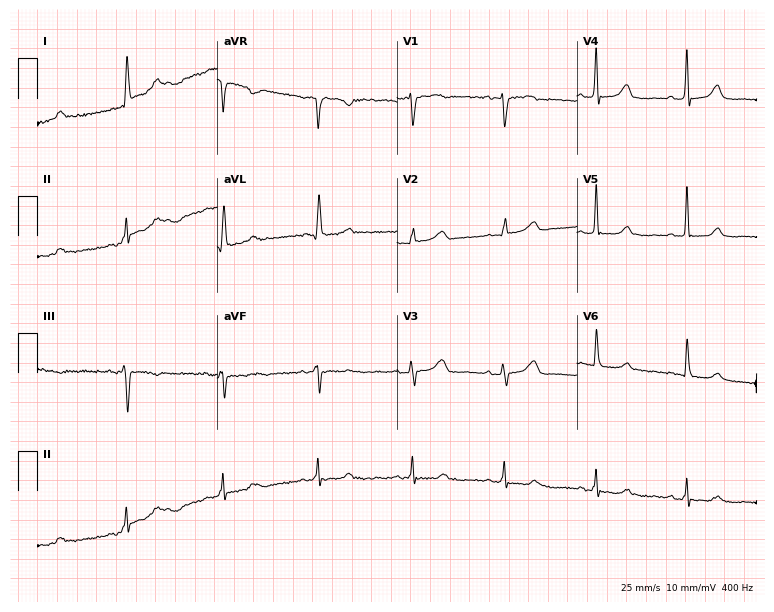
Resting 12-lead electrocardiogram (7.3-second recording at 400 Hz). Patient: a female, 72 years old. None of these six findings is recorded: first-degree AV block, right bundle branch block, left bundle branch block, sinus bradycardia, atrial fibrillation, sinus tachycardia.